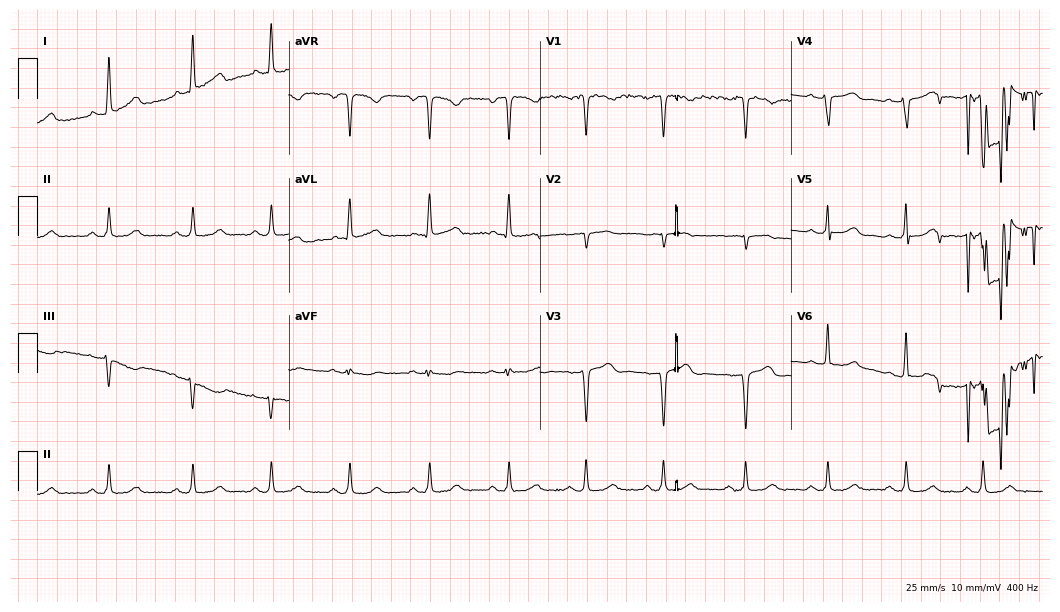
Electrocardiogram (10.2-second recording at 400 Hz), a 53-year-old female patient. Of the six screened findings (first-degree AV block, right bundle branch block, left bundle branch block, sinus bradycardia, atrial fibrillation, sinus tachycardia), none is recorded.